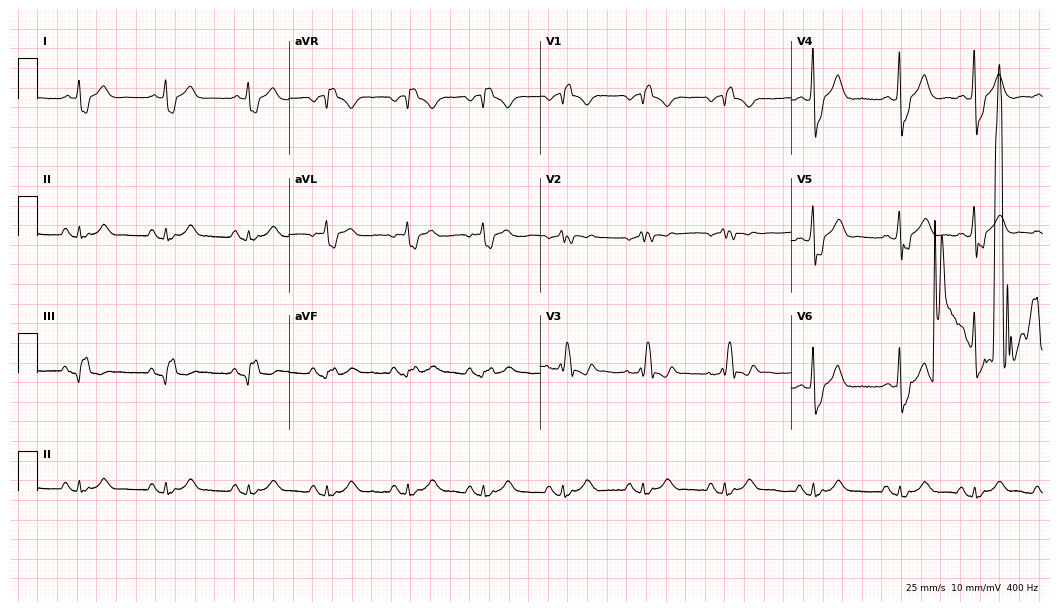
12-lead ECG from a male patient, 56 years old. Shows right bundle branch block.